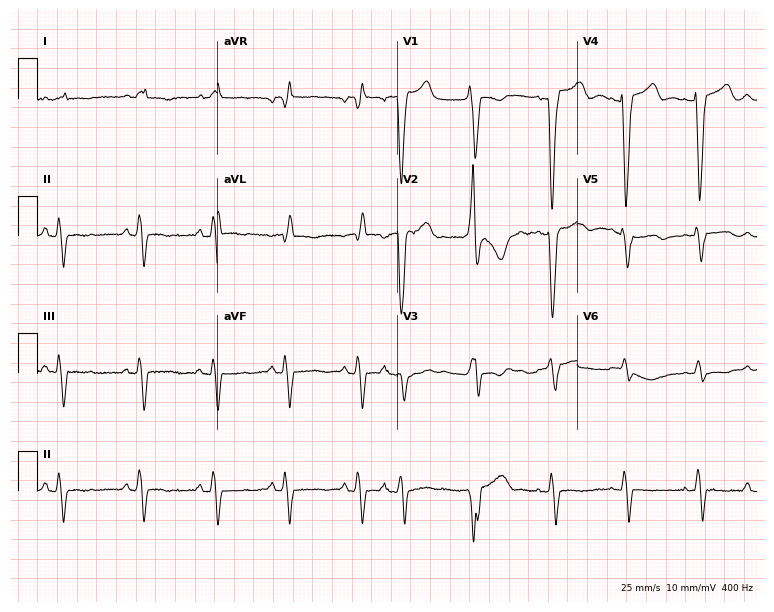
12-lead ECG (7.3-second recording at 400 Hz) from a woman, 85 years old. Findings include left bundle branch block.